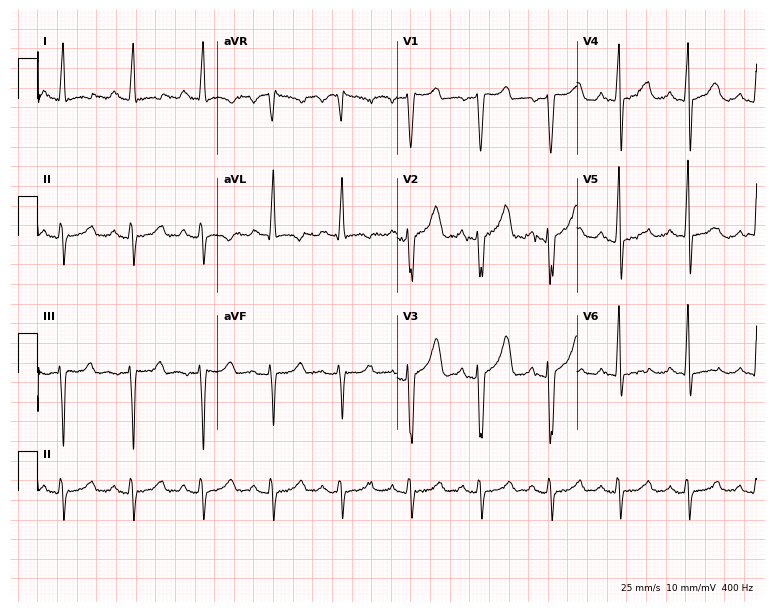
Resting 12-lead electrocardiogram. Patient: a 55-year-old female. None of these six findings is recorded: first-degree AV block, right bundle branch block, left bundle branch block, sinus bradycardia, atrial fibrillation, sinus tachycardia.